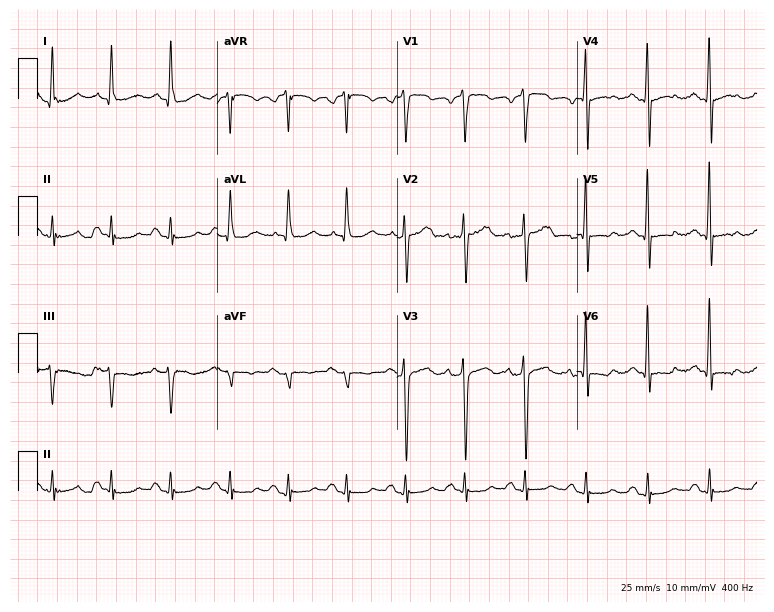
Resting 12-lead electrocardiogram (7.3-second recording at 400 Hz). Patient: a male, 53 years old. None of these six findings is recorded: first-degree AV block, right bundle branch block, left bundle branch block, sinus bradycardia, atrial fibrillation, sinus tachycardia.